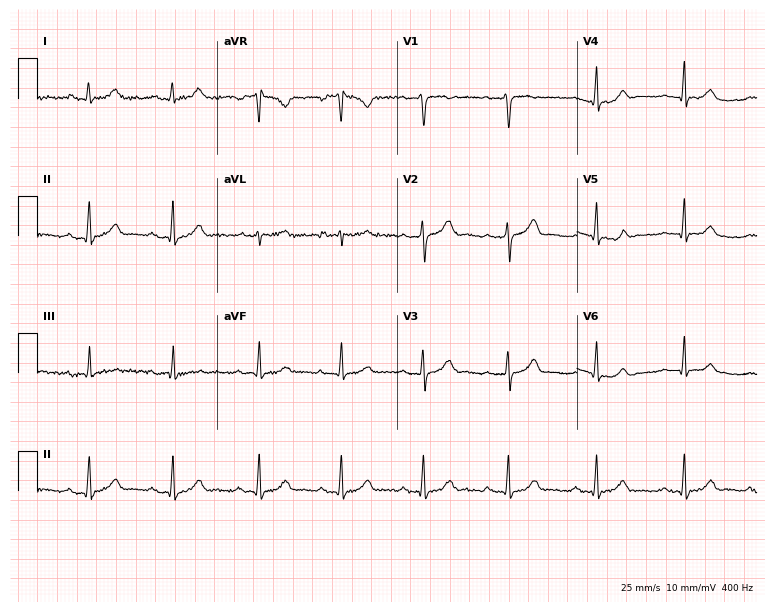
ECG — a 27-year-old woman. Labelled as a normal ECG.